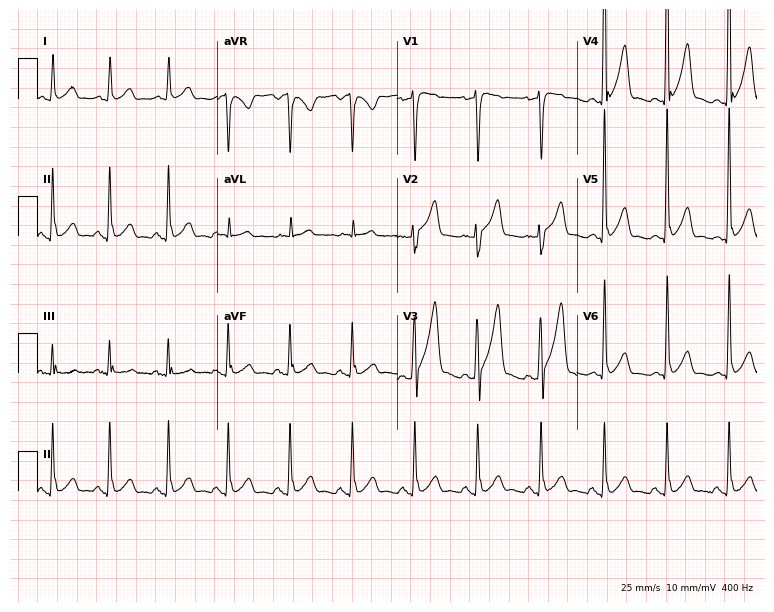
ECG — a male patient, 53 years old. Labelled as a normal ECG.